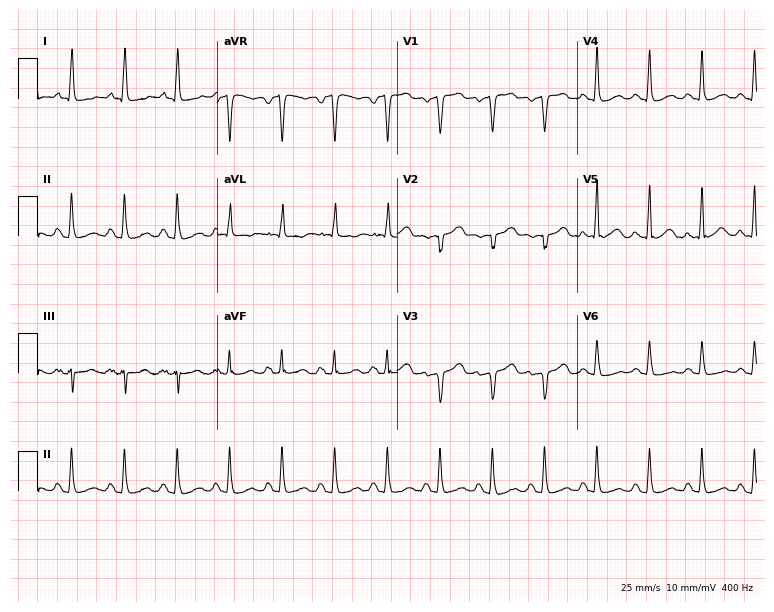
12-lead ECG from a 66-year-old female. Shows sinus tachycardia (a sinus rate of 100 beats per minute or more).